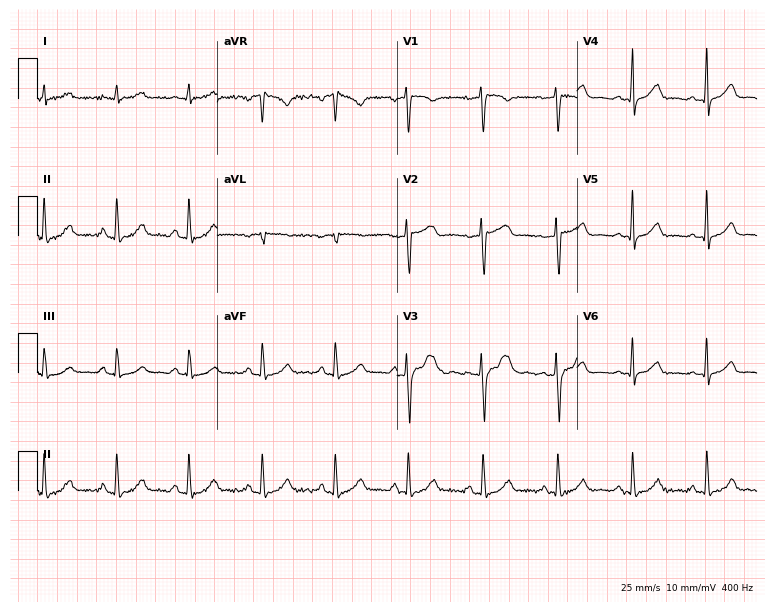
Electrocardiogram, a female patient, 37 years old. Overall reading on record: normal ECG.